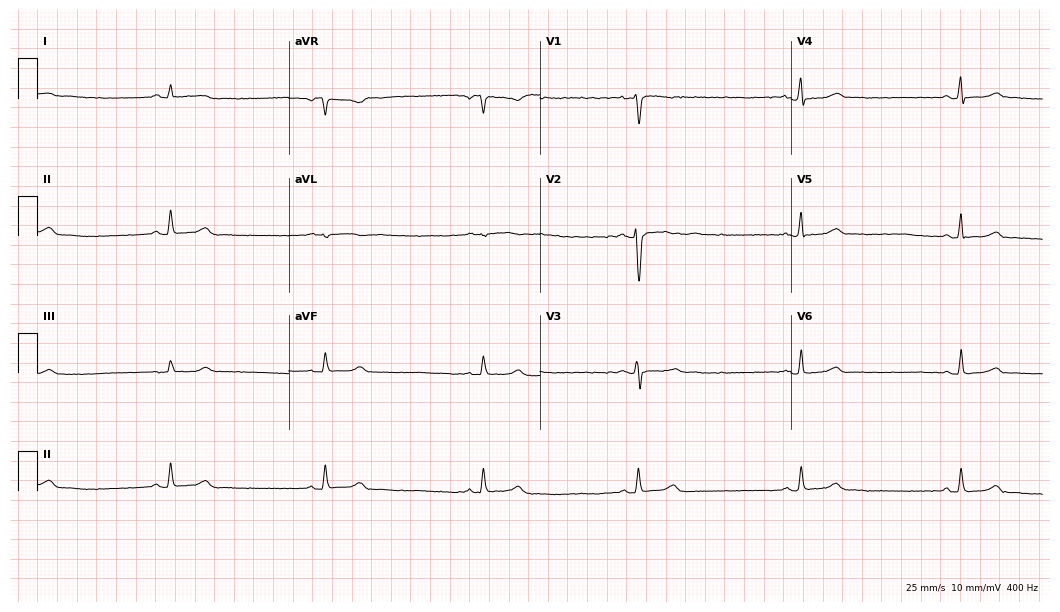
Standard 12-lead ECG recorded from a 20-year-old female (10.2-second recording at 400 Hz). The tracing shows sinus bradycardia (a sinus rate of 50 beats per minute or less).